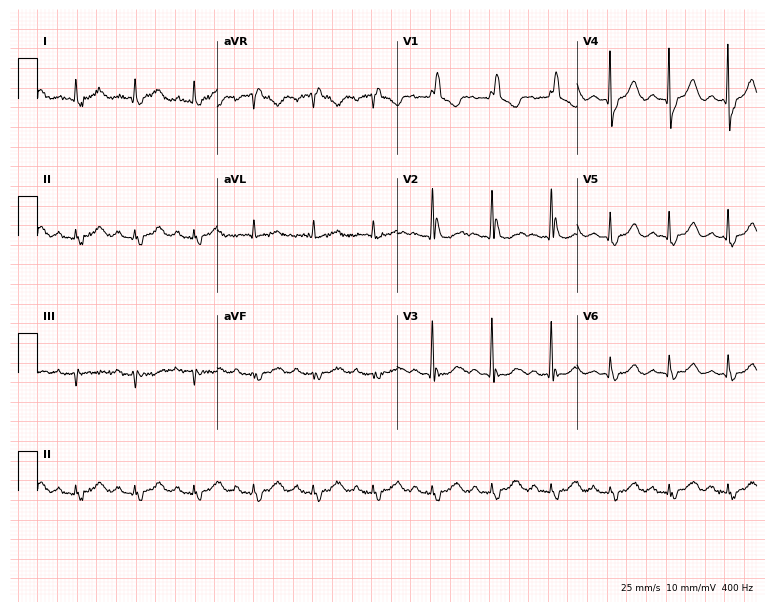
Standard 12-lead ECG recorded from a female patient, 78 years old (7.3-second recording at 400 Hz). None of these six findings is recorded: first-degree AV block, right bundle branch block, left bundle branch block, sinus bradycardia, atrial fibrillation, sinus tachycardia. Other findings, if any, are not listed.